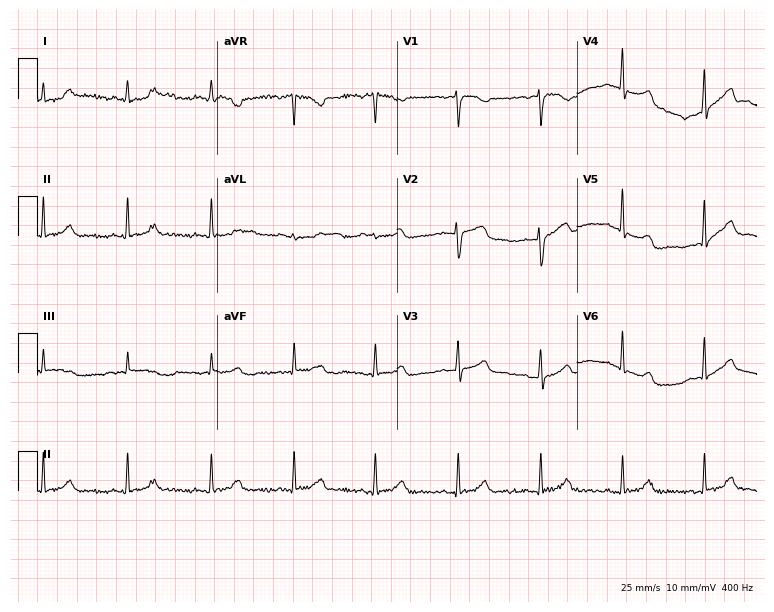
ECG — a woman, 60 years old. Labelled as a normal ECG.